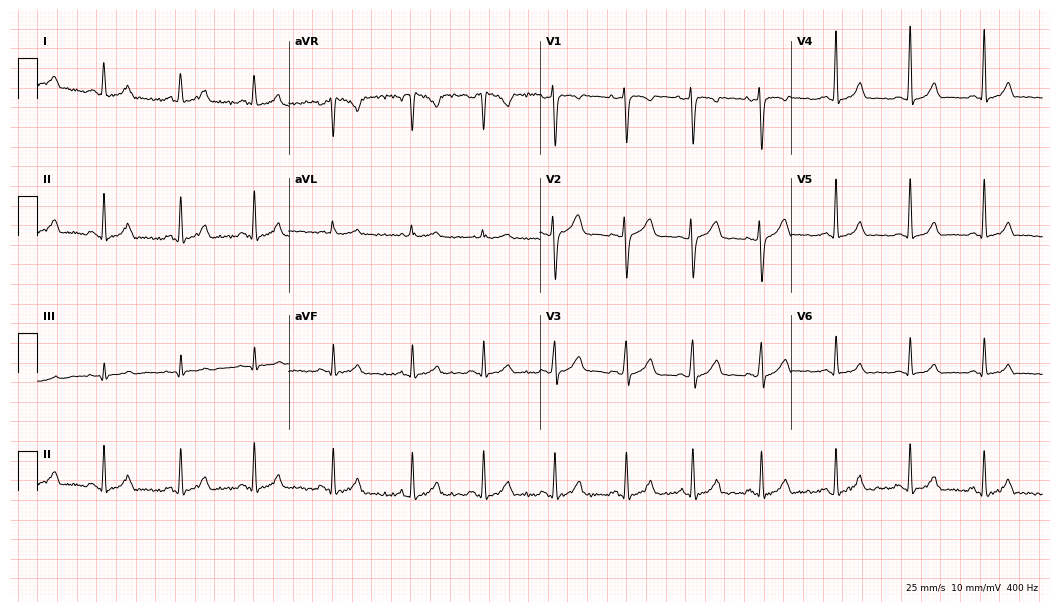
Standard 12-lead ECG recorded from a 23-year-old female patient. Read as a normal ECG.